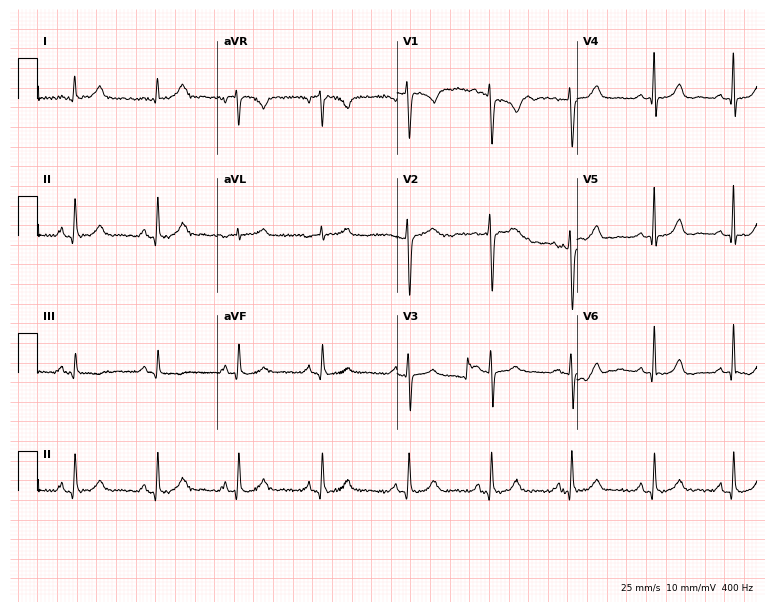
Resting 12-lead electrocardiogram. Patient: a woman, 43 years old. None of these six findings is recorded: first-degree AV block, right bundle branch block, left bundle branch block, sinus bradycardia, atrial fibrillation, sinus tachycardia. Other findings, if any, are not listed.